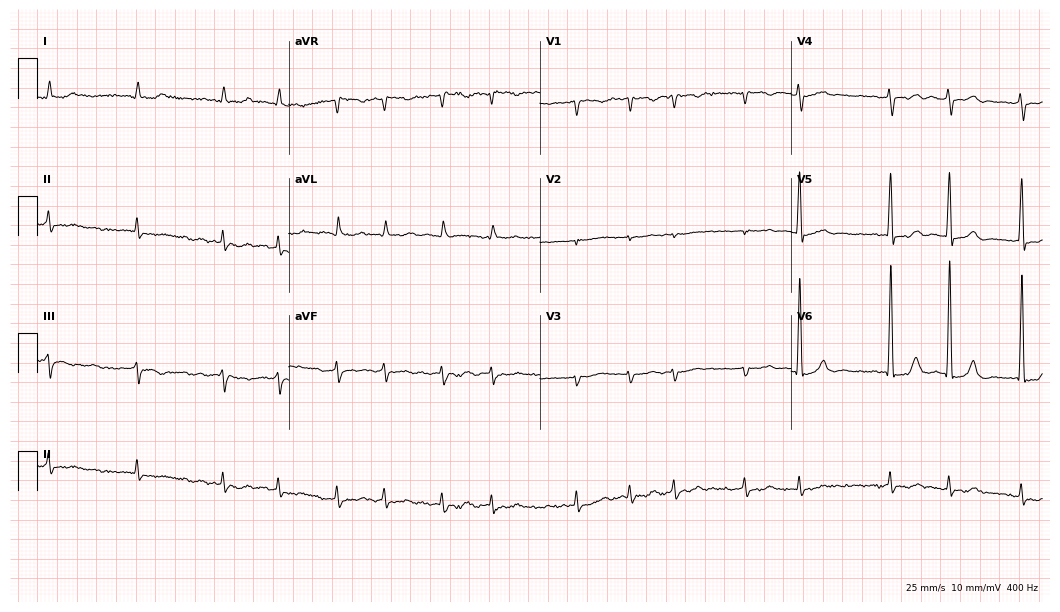
12-lead ECG from an 81-year-old man (10.2-second recording at 400 Hz). No first-degree AV block, right bundle branch block (RBBB), left bundle branch block (LBBB), sinus bradycardia, atrial fibrillation (AF) or sinus tachycardia recorded for this tracing.